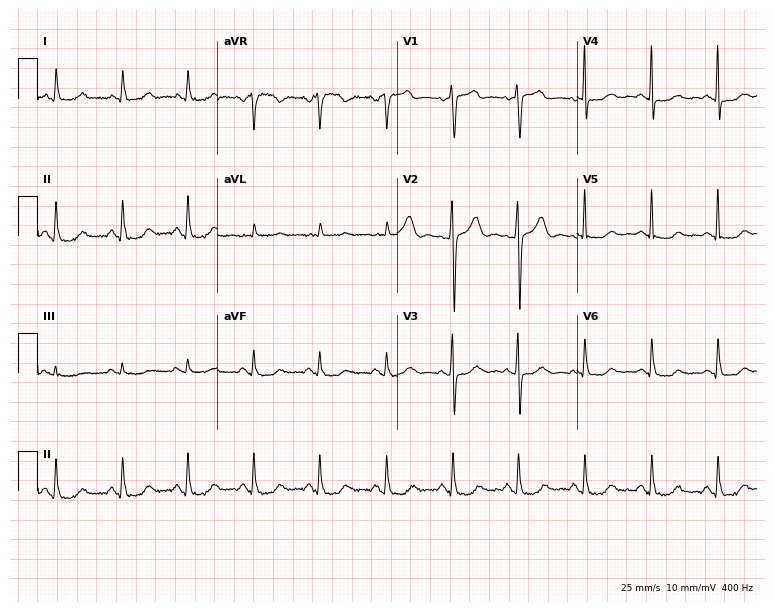
12-lead ECG (7.3-second recording at 400 Hz) from a 77-year-old female patient. Labelled as a normal ECG.